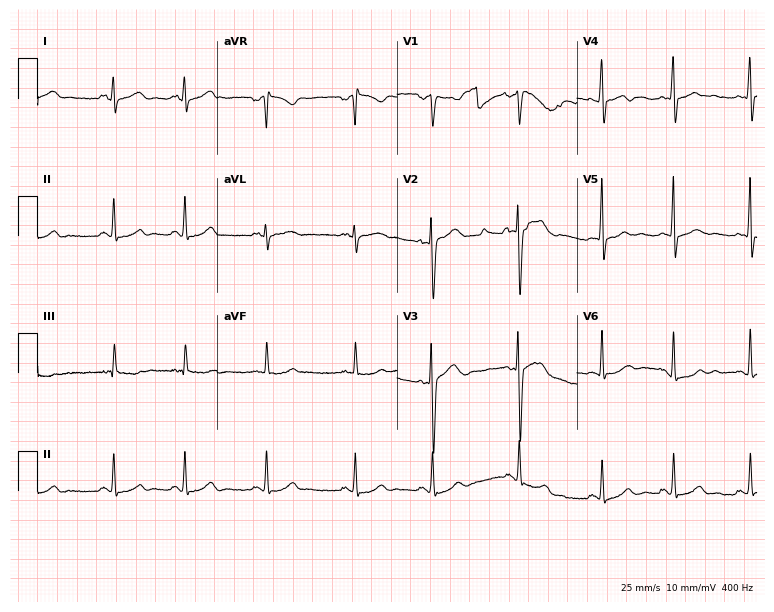
Standard 12-lead ECG recorded from a 20-year-old female. Read as a normal ECG.